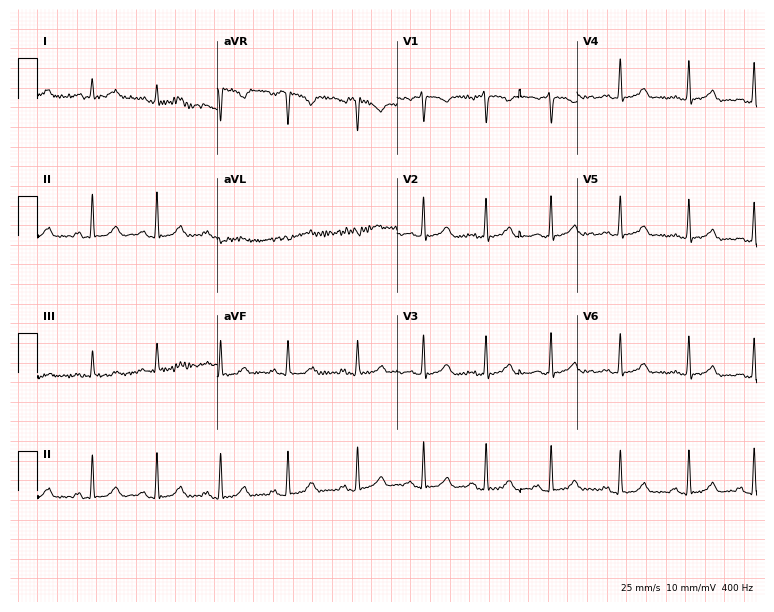
12-lead ECG from a 17-year-old woman. Screened for six findings — first-degree AV block, right bundle branch block (RBBB), left bundle branch block (LBBB), sinus bradycardia, atrial fibrillation (AF), sinus tachycardia — none is recorded.